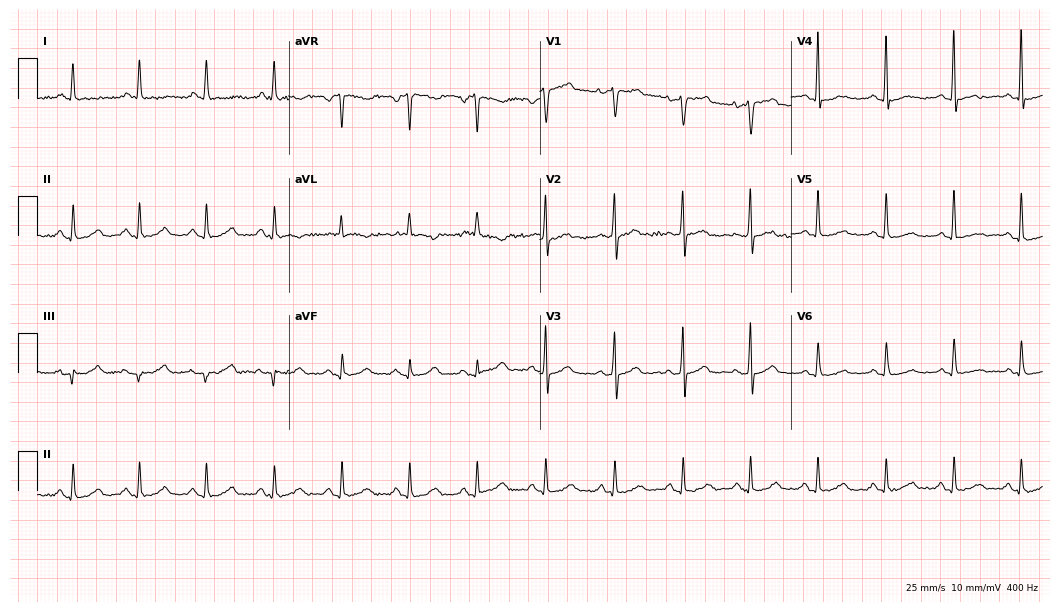
Electrocardiogram, a 66-year-old female patient. Overall reading on record: normal ECG.